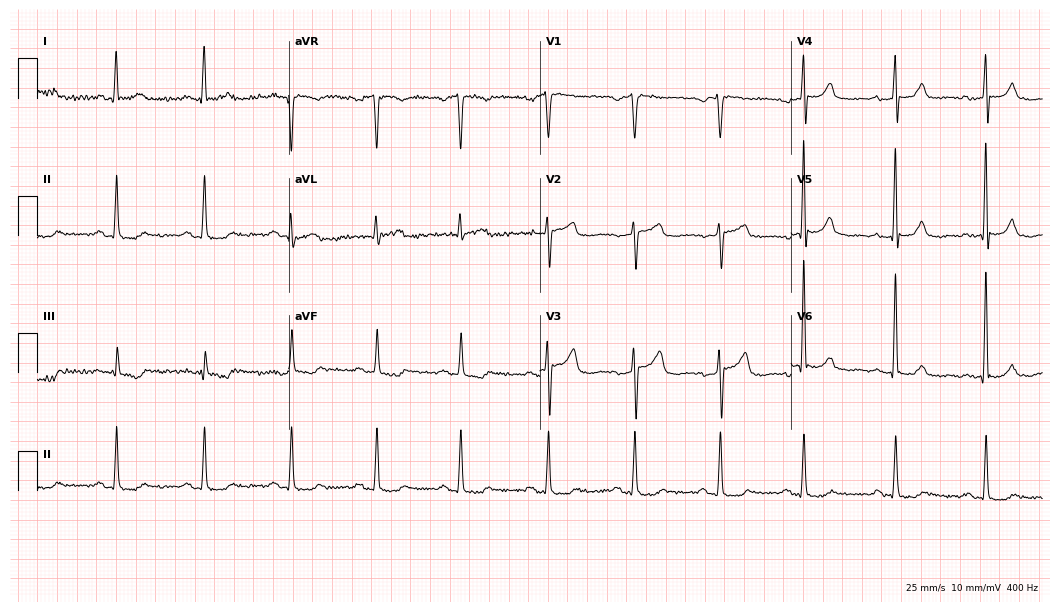
Standard 12-lead ECG recorded from a male, 67 years old. None of these six findings is recorded: first-degree AV block, right bundle branch block, left bundle branch block, sinus bradycardia, atrial fibrillation, sinus tachycardia. Findings outside these six are not listed.